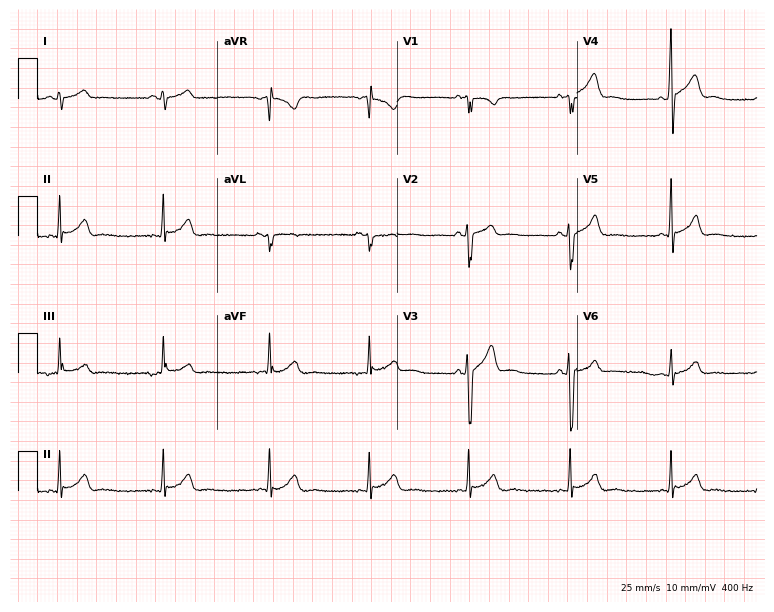
ECG (7.3-second recording at 400 Hz) — a 23-year-old male patient. Labelled as a normal ECG.